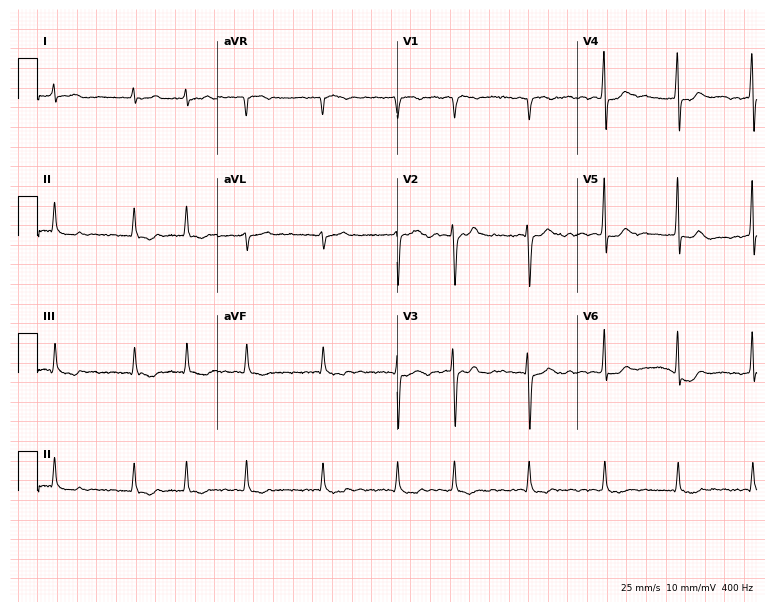
12-lead ECG from a 69-year-old female. Shows atrial fibrillation.